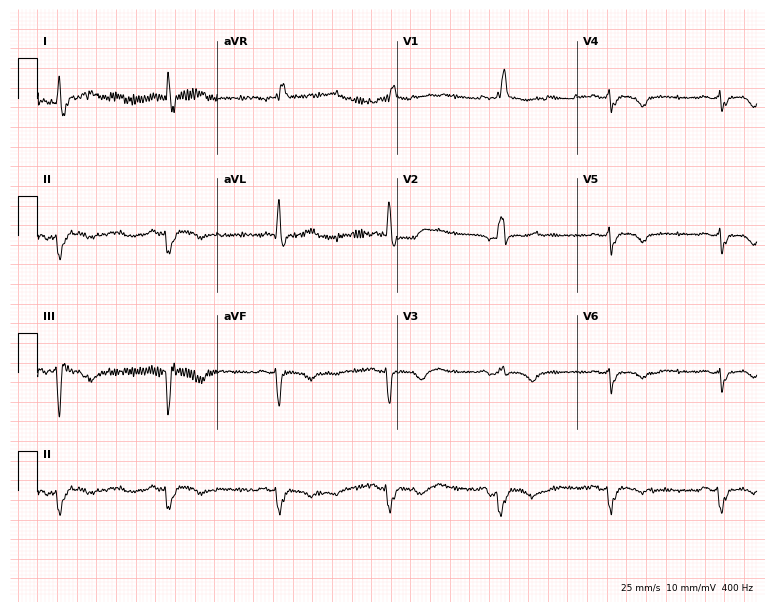
Resting 12-lead electrocardiogram. Patient: a female, 74 years old. The tracing shows right bundle branch block.